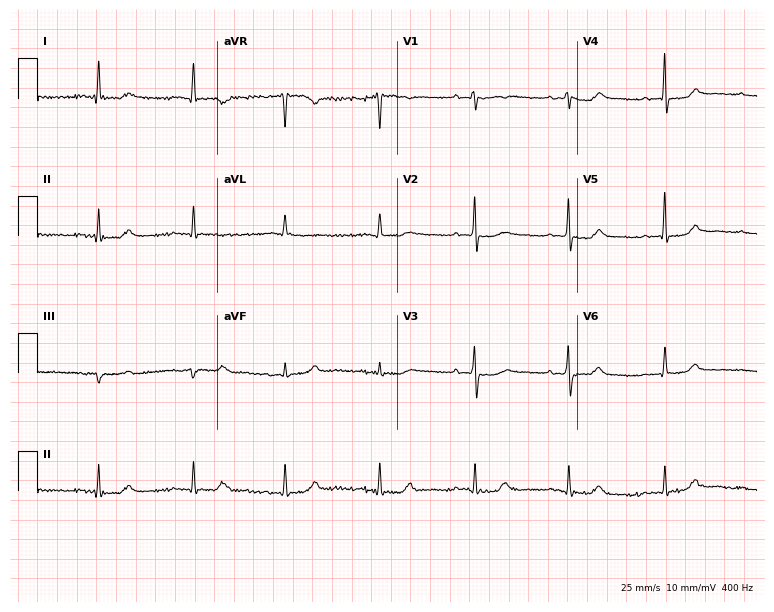
Resting 12-lead electrocardiogram. Patient: a 74-year-old female. None of these six findings is recorded: first-degree AV block, right bundle branch block, left bundle branch block, sinus bradycardia, atrial fibrillation, sinus tachycardia. Findings outside these six are not listed.